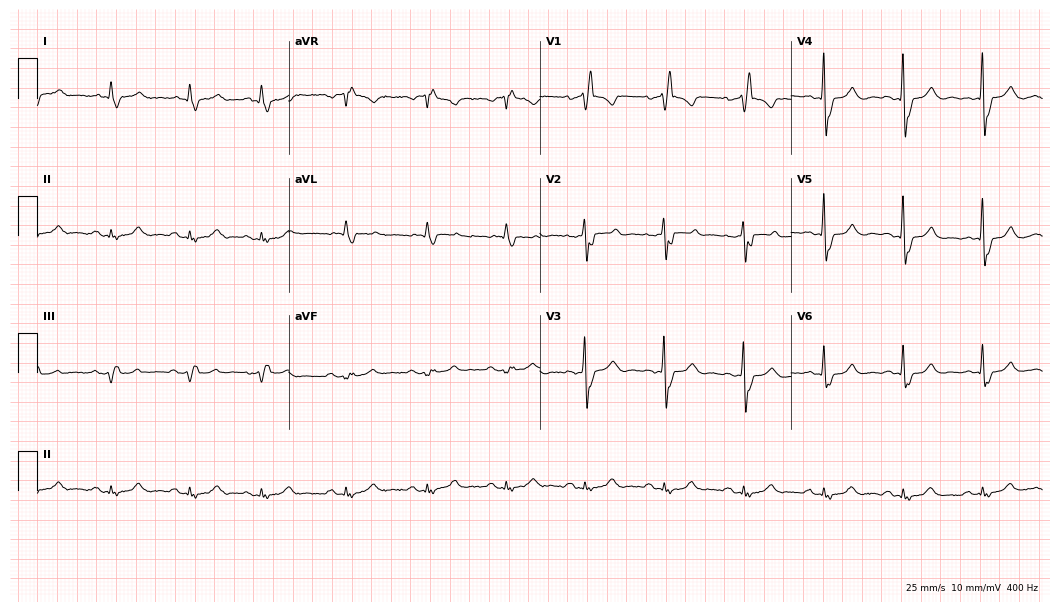
12-lead ECG from a man, 79 years old. Findings include right bundle branch block.